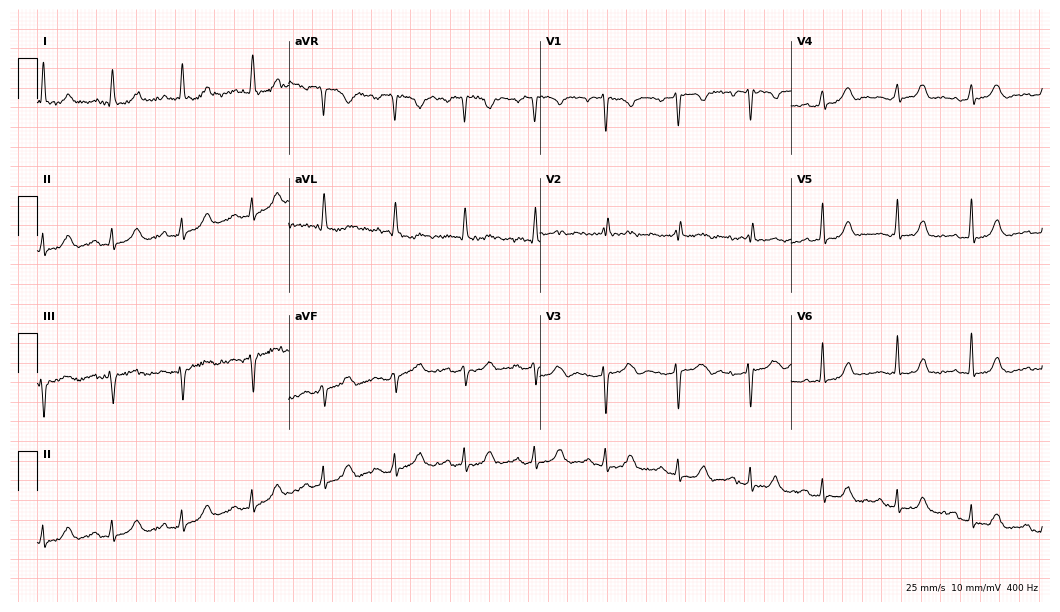
Resting 12-lead electrocardiogram. Patient: a female, 50 years old. Read as a normal ECG.